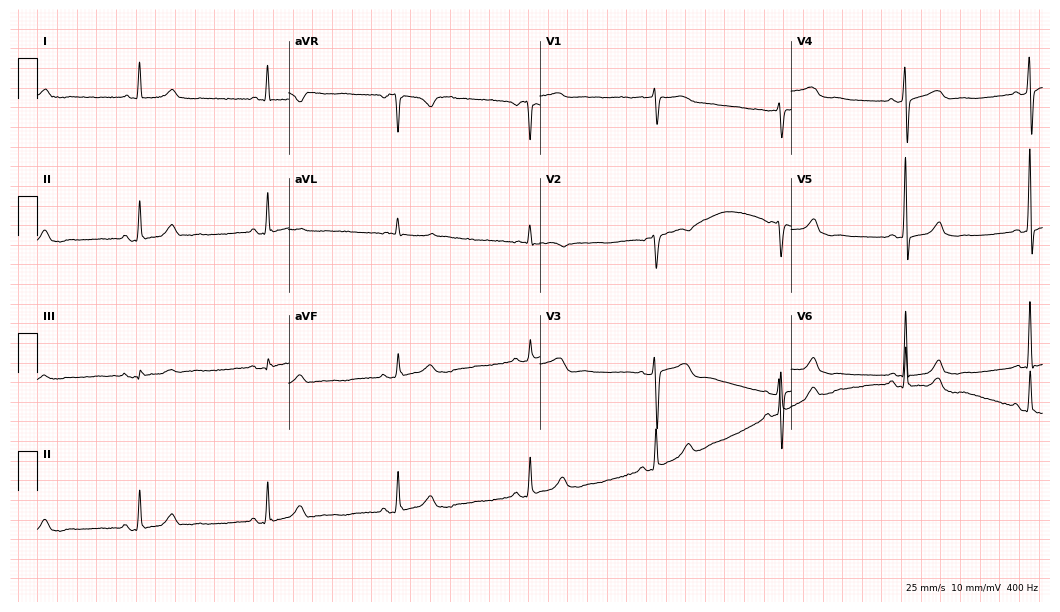
12-lead ECG from a female, 70 years old (10.2-second recording at 400 Hz). Shows sinus bradycardia (a sinus rate of 50 beats per minute or less).